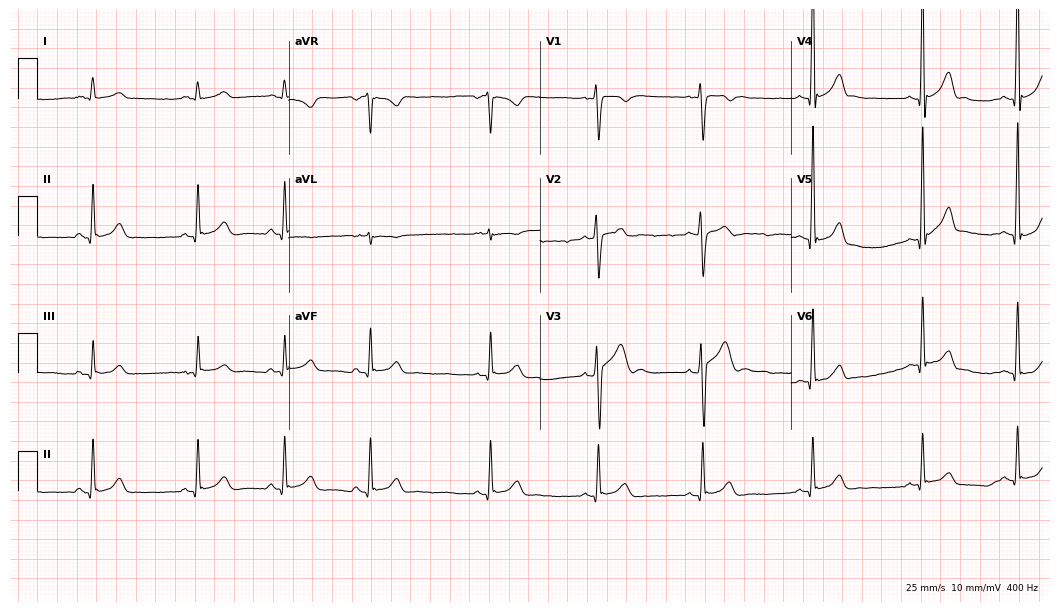
12-lead ECG from a man, 17 years old. Screened for six findings — first-degree AV block, right bundle branch block (RBBB), left bundle branch block (LBBB), sinus bradycardia, atrial fibrillation (AF), sinus tachycardia — none is recorded. Other findings, if any, are not listed.